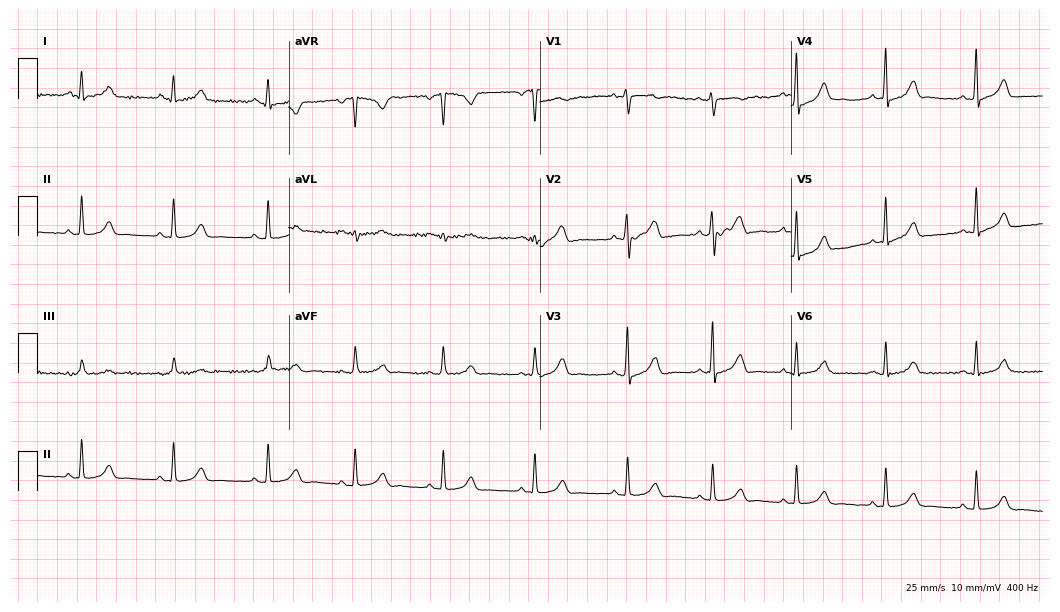
12-lead ECG (10.2-second recording at 400 Hz) from a female, 35 years old. Screened for six findings — first-degree AV block, right bundle branch block, left bundle branch block, sinus bradycardia, atrial fibrillation, sinus tachycardia — none is recorded. Other findings, if any, are not listed.